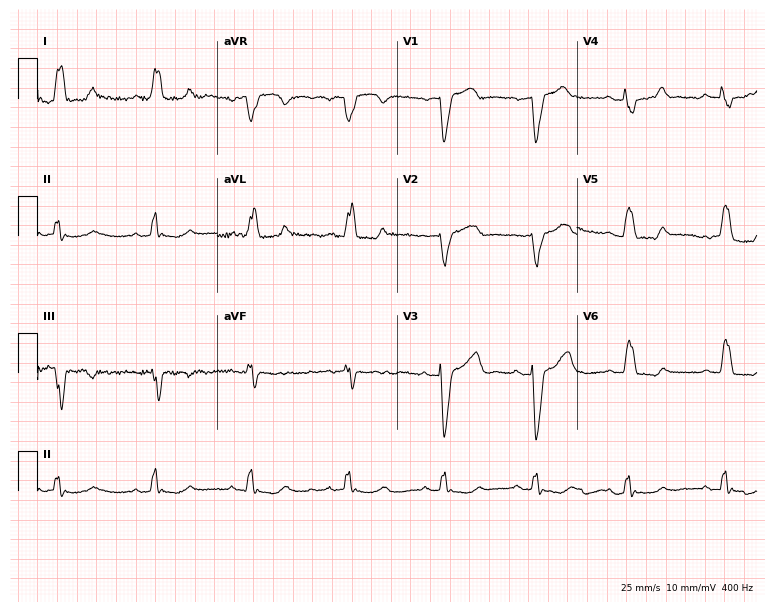
ECG — an 84-year-old man. Findings include left bundle branch block.